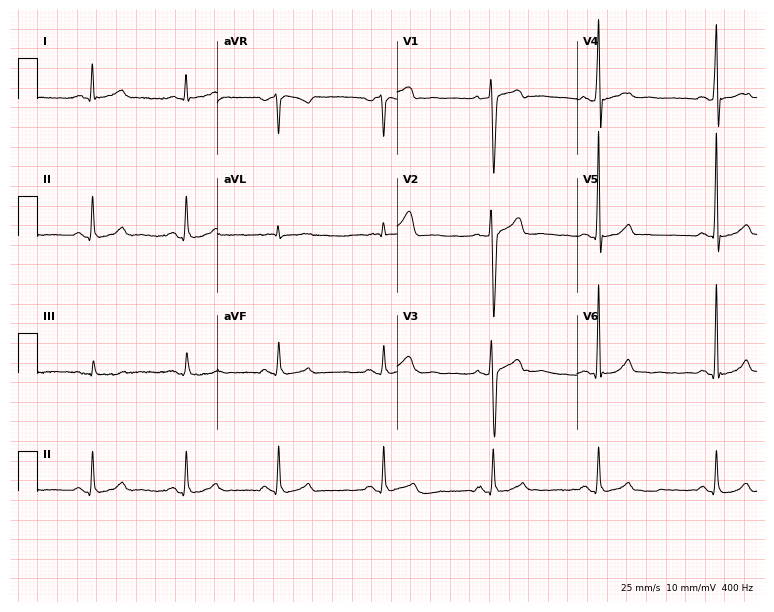
Resting 12-lead electrocardiogram (7.3-second recording at 400 Hz). Patient: a man, 36 years old. Read as a normal ECG.